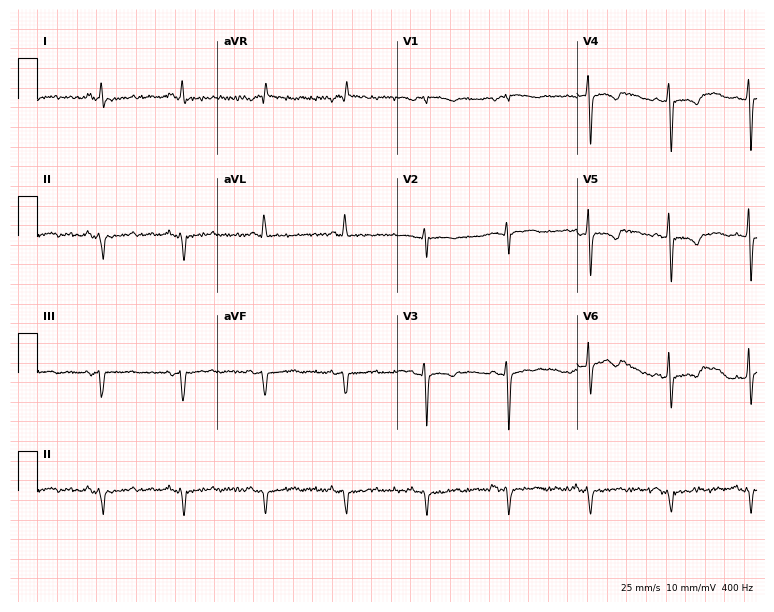
Electrocardiogram, a 66-year-old man. Of the six screened findings (first-degree AV block, right bundle branch block, left bundle branch block, sinus bradycardia, atrial fibrillation, sinus tachycardia), none is recorded. Only these six findings were labelled.